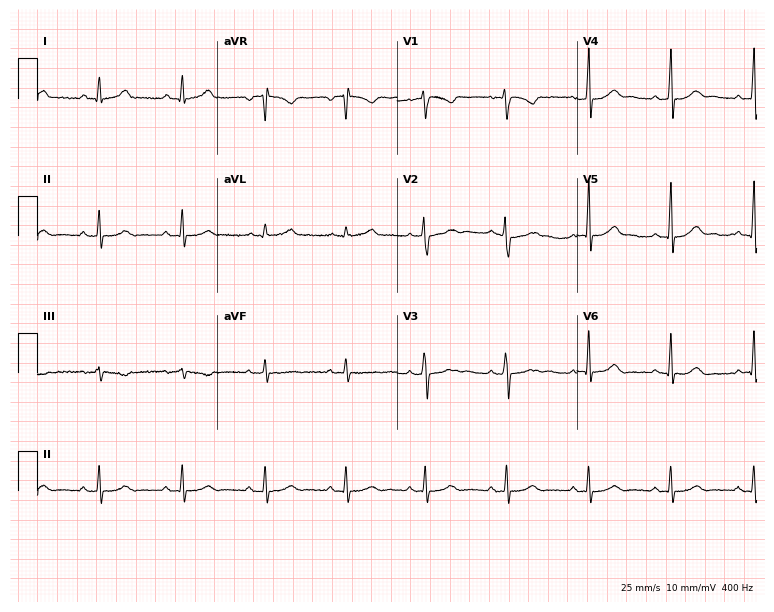
Standard 12-lead ECG recorded from a 42-year-old woman. Read as a normal ECG.